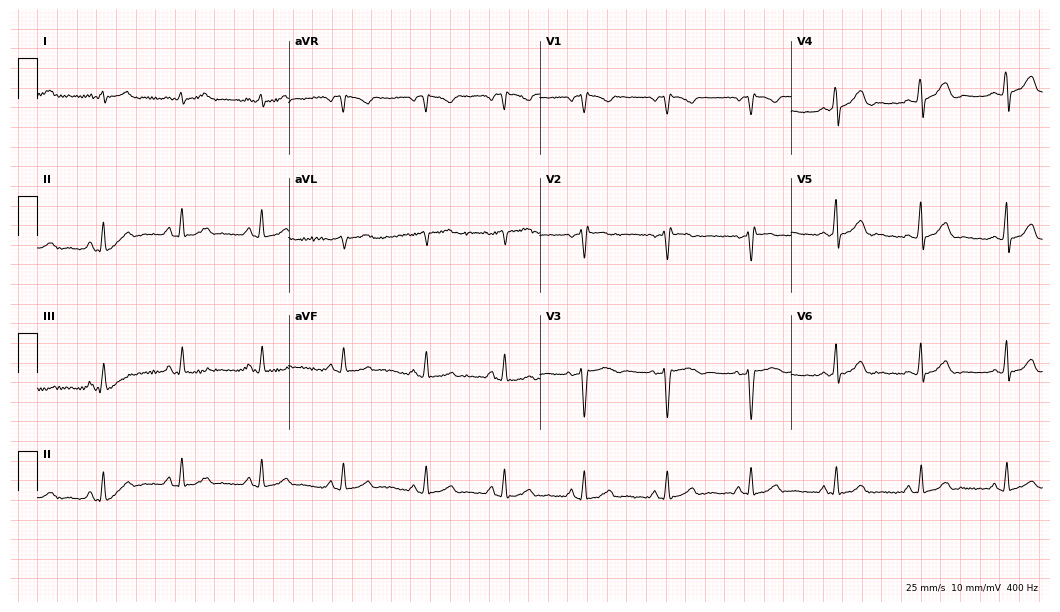
12-lead ECG from a woman, 38 years old. Recorded interpretation: within normal limits.